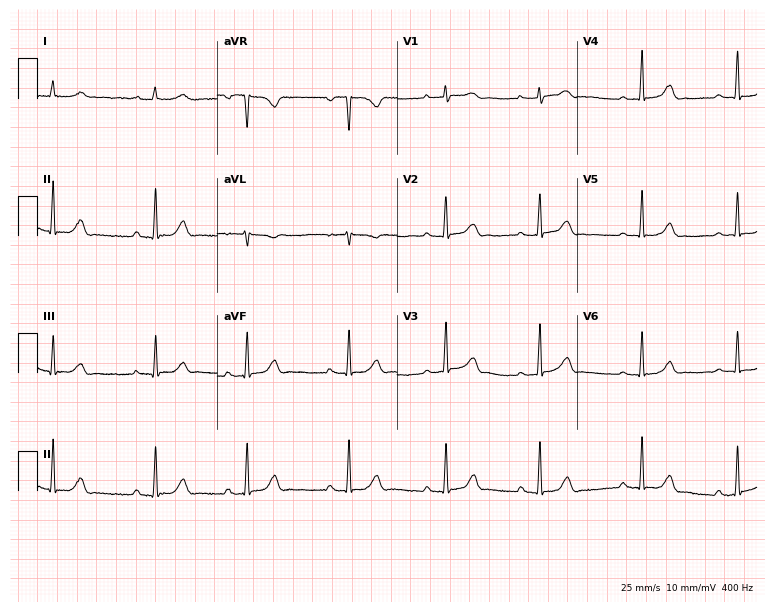
Standard 12-lead ECG recorded from a female, 22 years old. Read as a normal ECG.